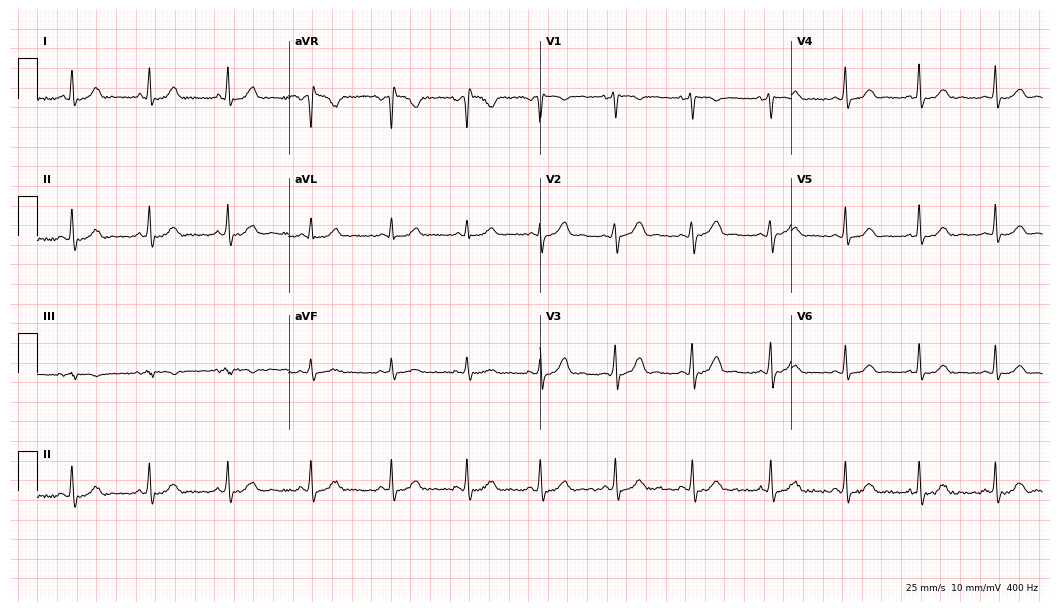
Electrocardiogram (10.2-second recording at 400 Hz), a female patient, 29 years old. Overall reading on record: normal ECG.